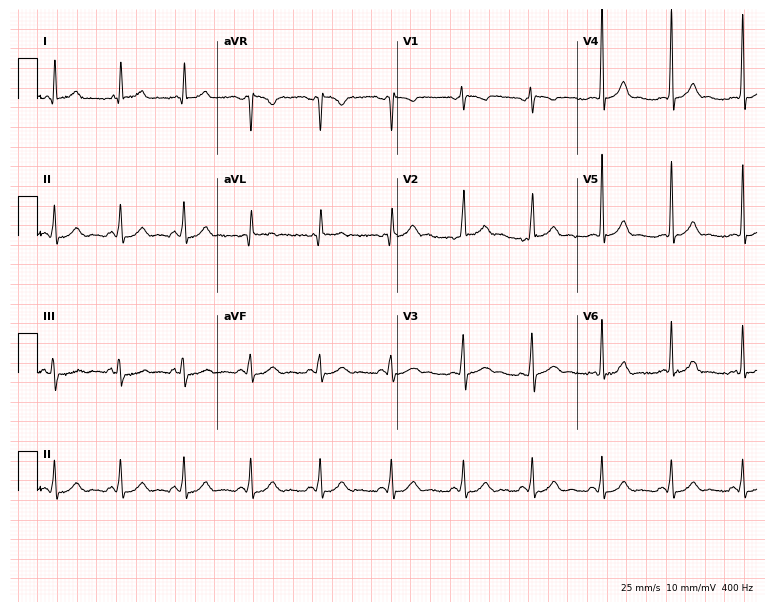
12-lead ECG from a 43-year-old female. Labelled as a normal ECG.